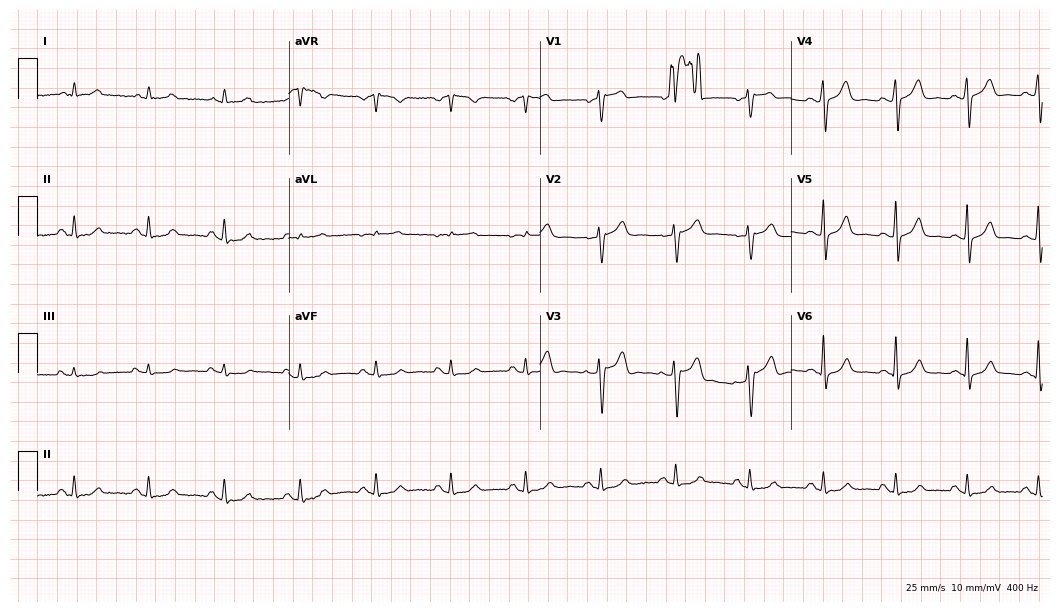
12-lead ECG (10.2-second recording at 400 Hz) from a man, 63 years old. Screened for six findings — first-degree AV block, right bundle branch block, left bundle branch block, sinus bradycardia, atrial fibrillation, sinus tachycardia — none is recorded.